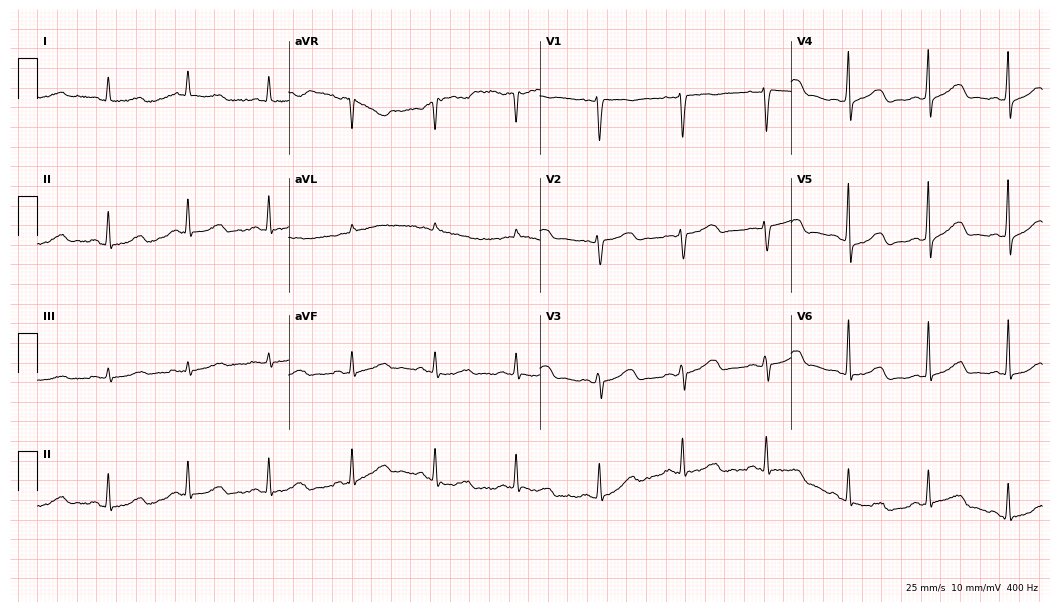
Standard 12-lead ECG recorded from a 36-year-old woman (10.2-second recording at 400 Hz). Read as a normal ECG.